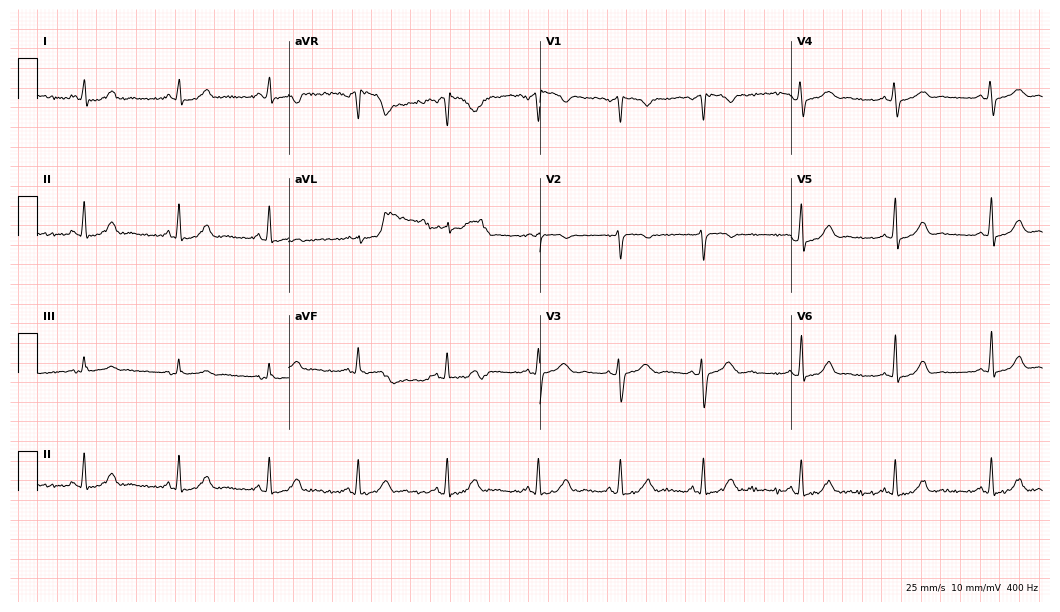
Resting 12-lead electrocardiogram. Patient: a female, 20 years old. None of these six findings is recorded: first-degree AV block, right bundle branch block, left bundle branch block, sinus bradycardia, atrial fibrillation, sinus tachycardia.